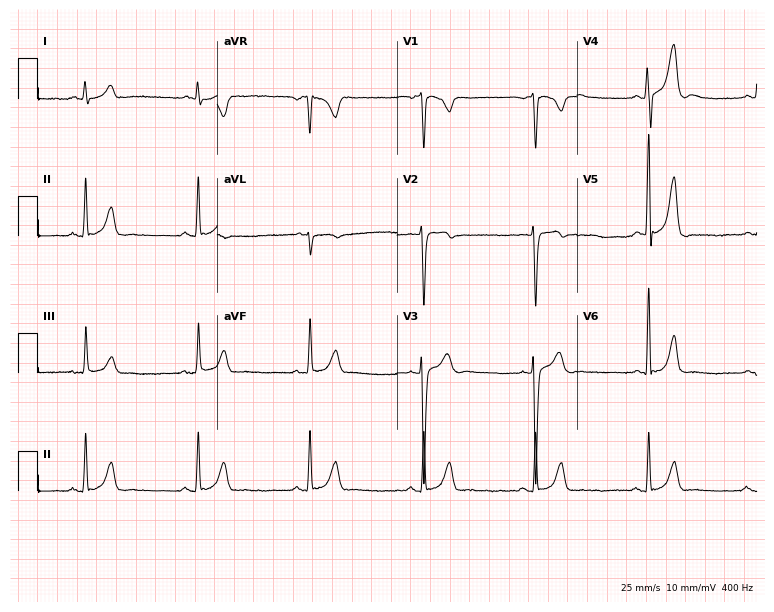
Electrocardiogram (7.3-second recording at 400 Hz), a 36-year-old man. Of the six screened findings (first-degree AV block, right bundle branch block, left bundle branch block, sinus bradycardia, atrial fibrillation, sinus tachycardia), none is recorded.